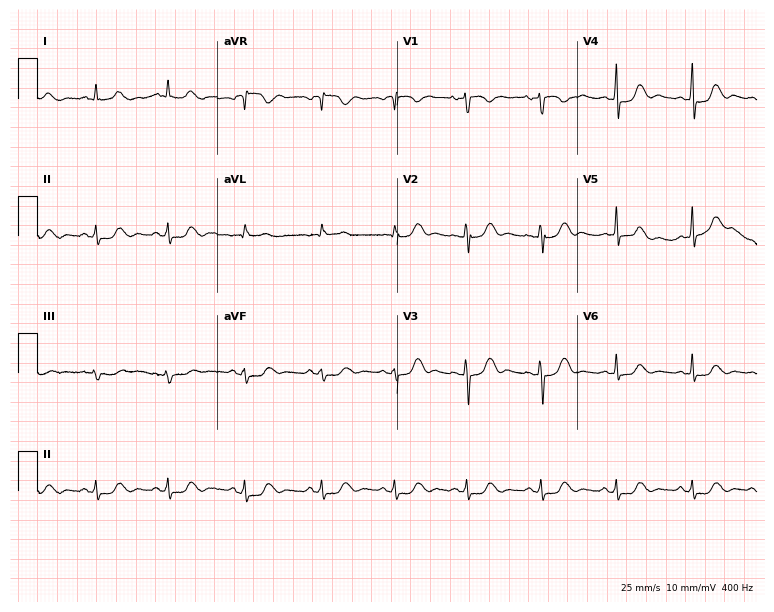
12-lead ECG (7.3-second recording at 400 Hz) from a female, 42 years old. Screened for six findings — first-degree AV block, right bundle branch block, left bundle branch block, sinus bradycardia, atrial fibrillation, sinus tachycardia — none is recorded. Findings outside these six are not listed.